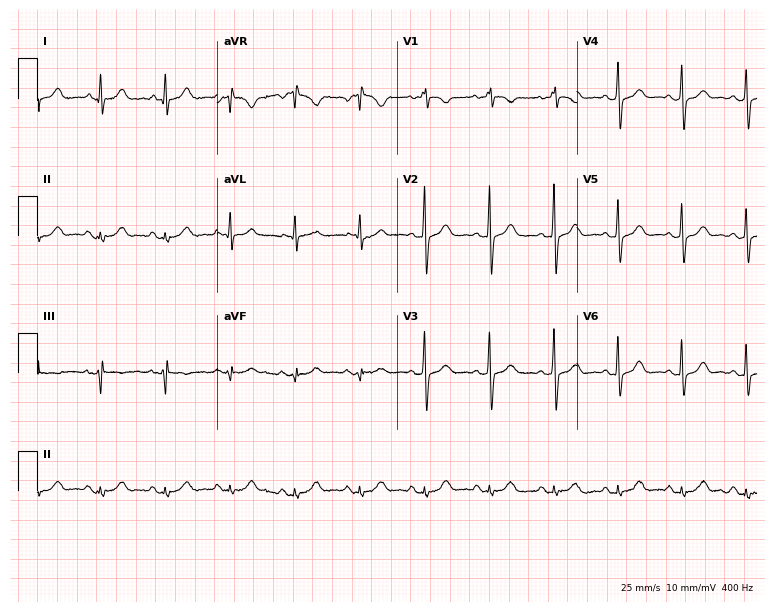
12-lead ECG from a female, 60 years old. Labelled as a normal ECG.